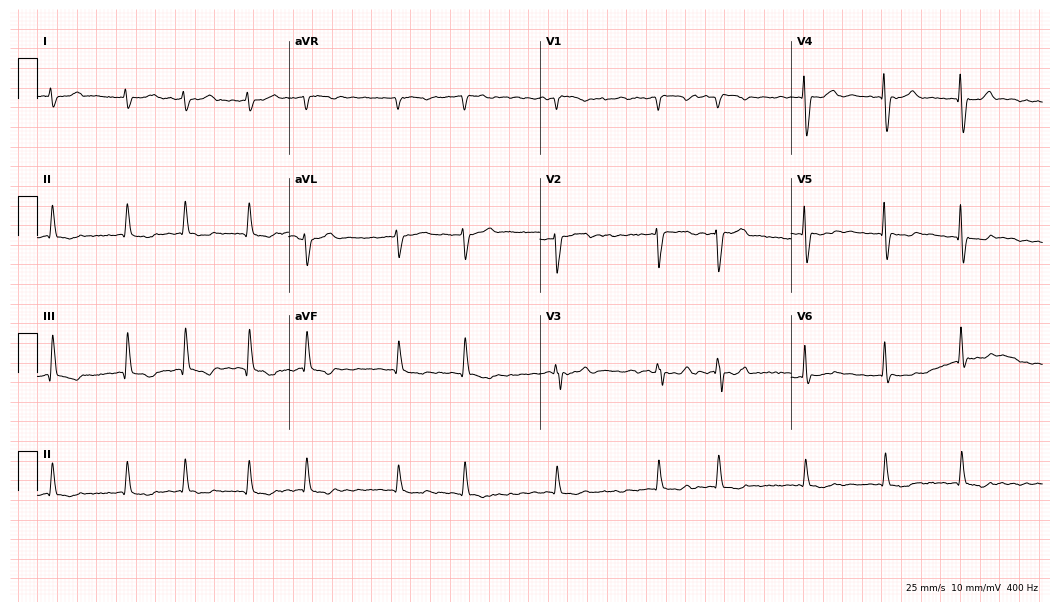
12-lead ECG from a female patient, 84 years old. Shows atrial fibrillation (AF).